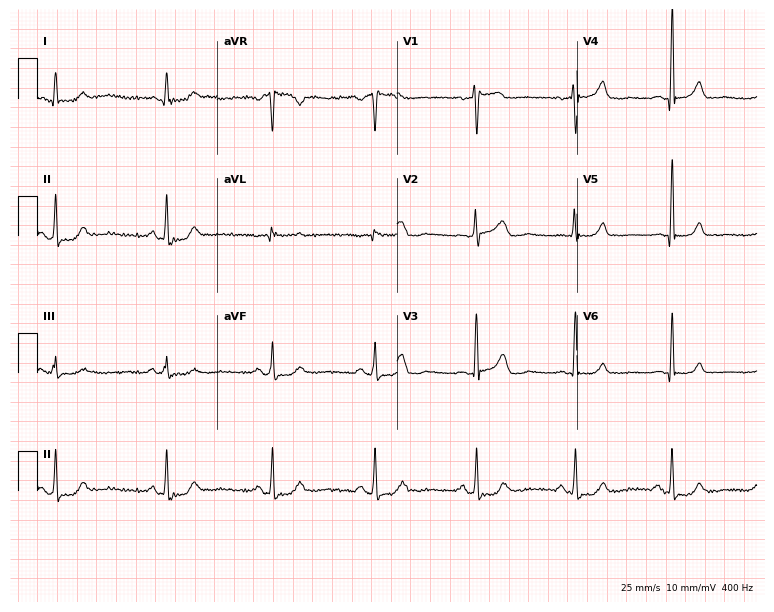
12-lead ECG from a male, 55 years old (7.3-second recording at 400 Hz). No first-degree AV block, right bundle branch block (RBBB), left bundle branch block (LBBB), sinus bradycardia, atrial fibrillation (AF) or sinus tachycardia recorded for this tracing.